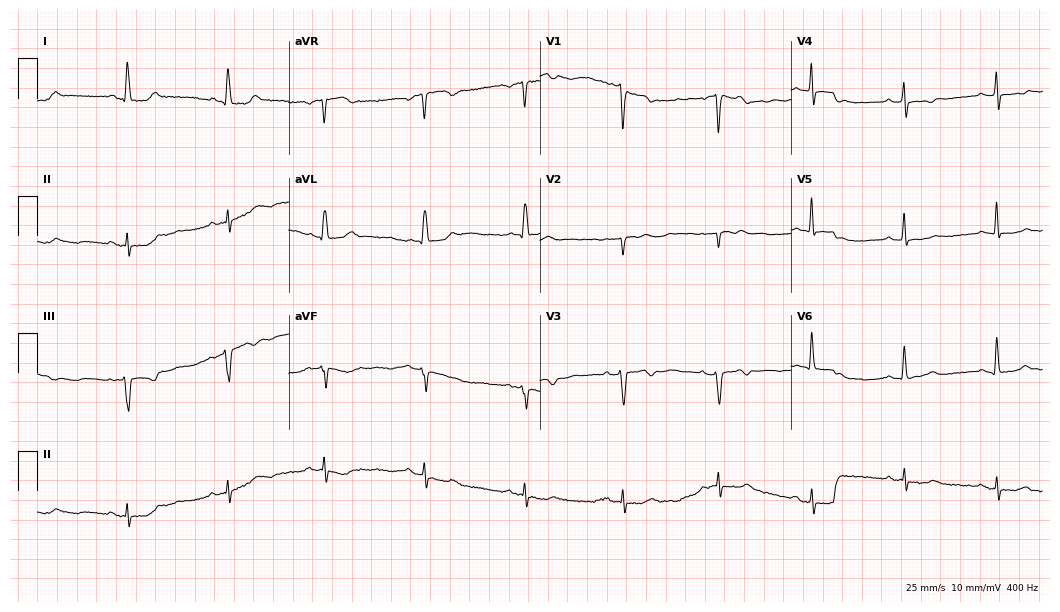
Electrocardiogram, a 48-year-old female patient. Of the six screened findings (first-degree AV block, right bundle branch block, left bundle branch block, sinus bradycardia, atrial fibrillation, sinus tachycardia), none is recorded. Findings outside these six are not listed.